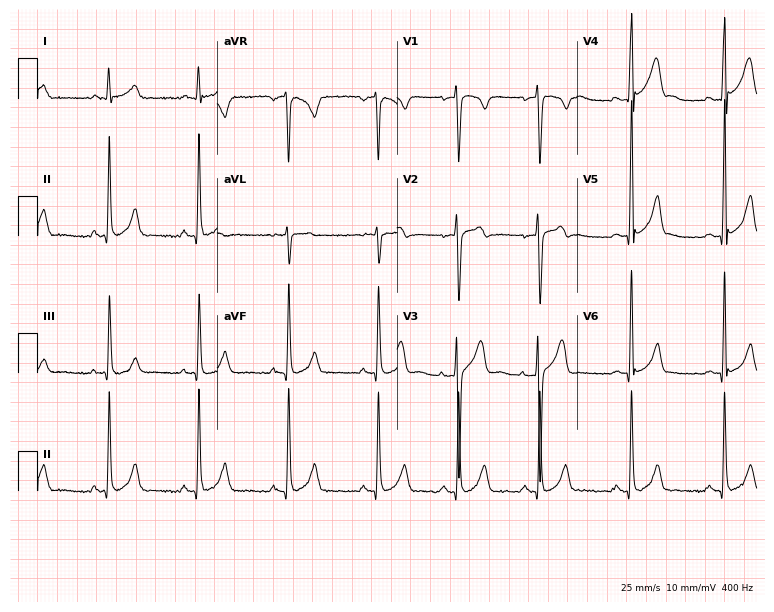
Standard 12-lead ECG recorded from a man, 26 years old (7.3-second recording at 400 Hz). Read as a normal ECG.